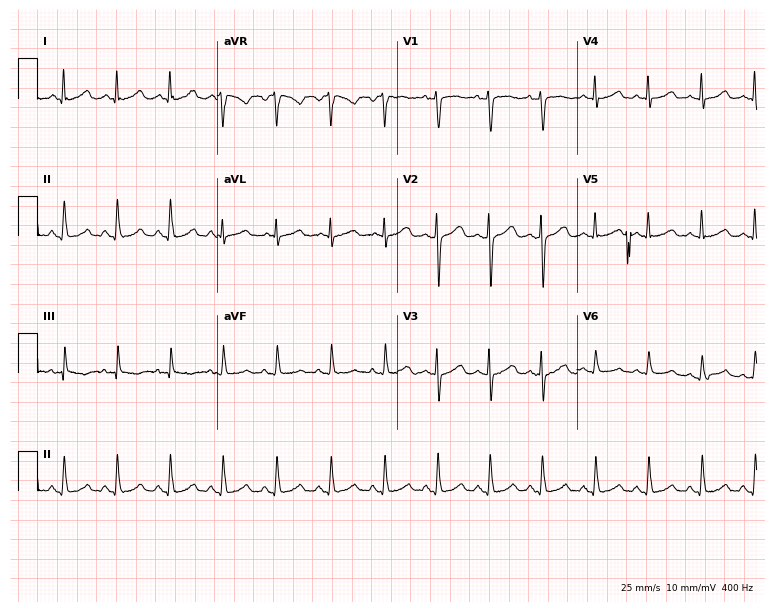
Electrocardiogram, a 31-year-old female patient. Interpretation includes sinus tachycardia (a sinus rate of 100 beats per minute or more).